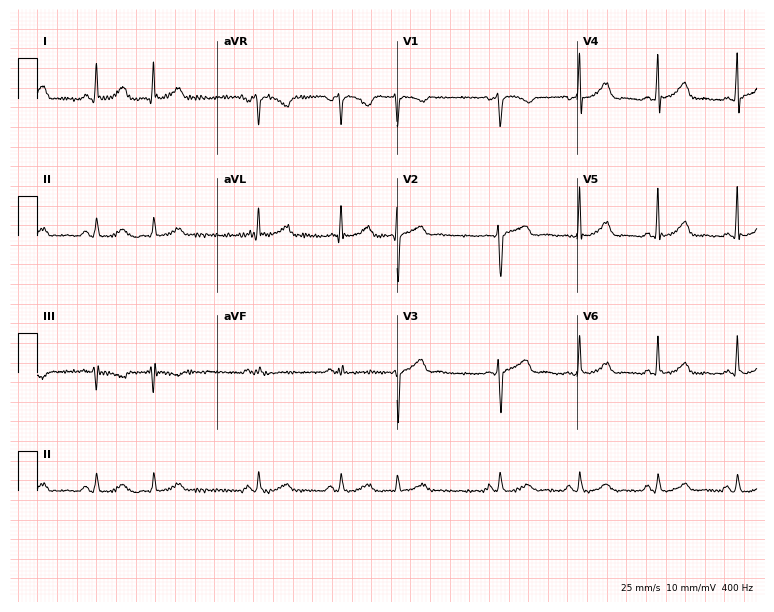
12-lead ECG from a female patient, 49 years old. No first-degree AV block, right bundle branch block, left bundle branch block, sinus bradycardia, atrial fibrillation or sinus tachycardia recorded for this tracing.